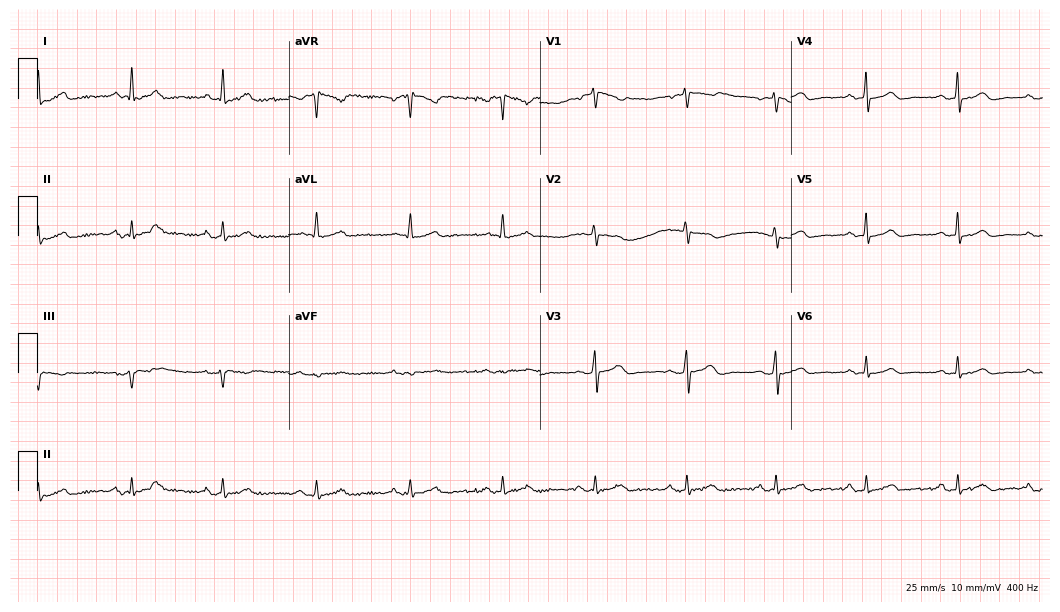
12-lead ECG from a female, 68 years old. Recorded interpretation: within normal limits.